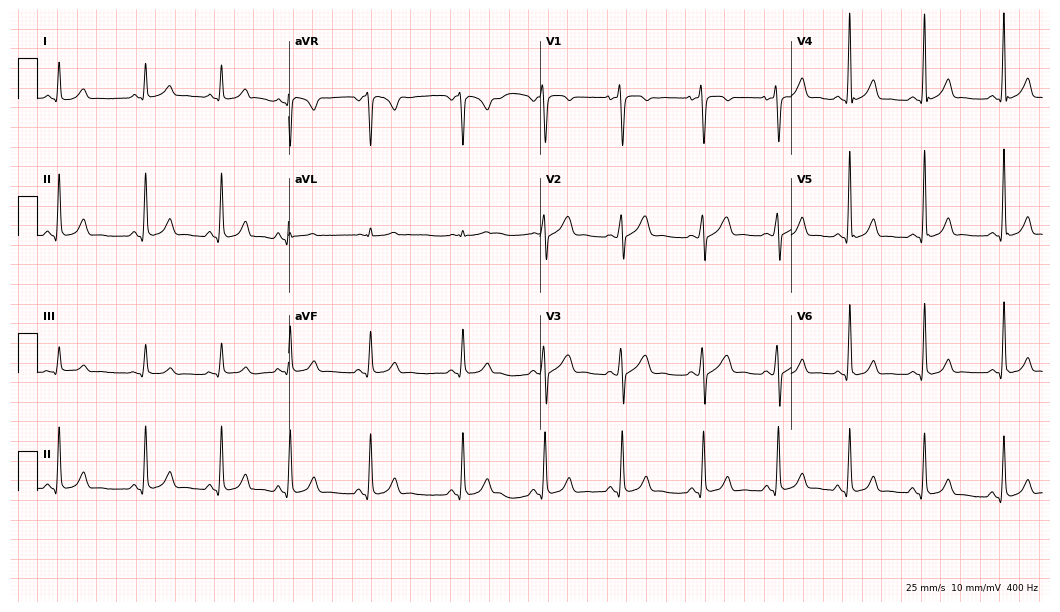
Standard 12-lead ECG recorded from a 29-year-old female patient (10.2-second recording at 400 Hz). None of these six findings is recorded: first-degree AV block, right bundle branch block, left bundle branch block, sinus bradycardia, atrial fibrillation, sinus tachycardia.